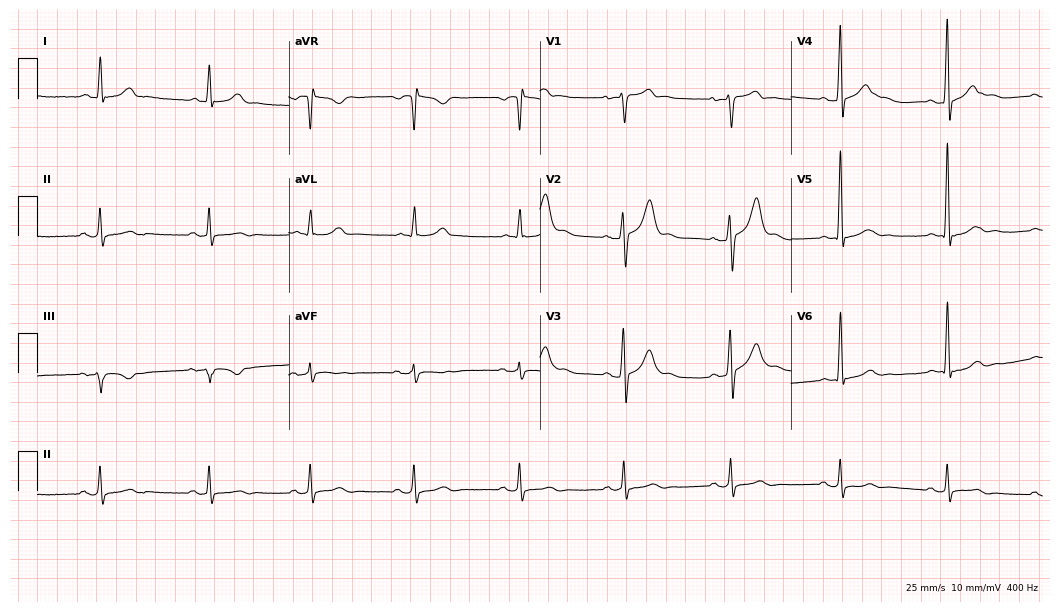
Resting 12-lead electrocardiogram (10.2-second recording at 400 Hz). Patient: a 39-year-old male. None of these six findings is recorded: first-degree AV block, right bundle branch block, left bundle branch block, sinus bradycardia, atrial fibrillation, sinus tachycardia.